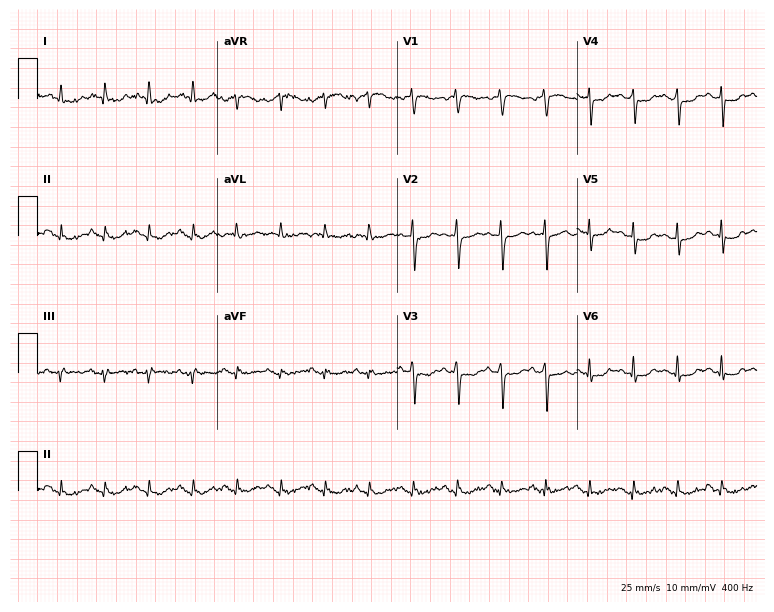
Resting 12-lead electrocardiogram (7.3-second recording at 400 Hz). Patient: a male, 74 years old. The tracing shows sinus tachycardia (a sinus rate of 100 beats per minute or more).